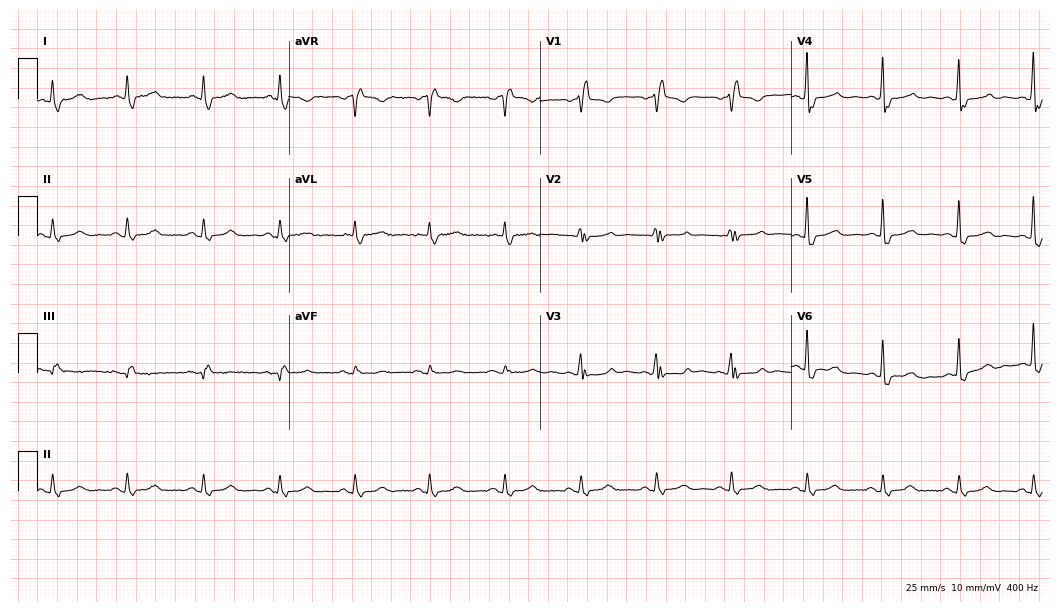
Electrocardiogram, a female patient, 72 years old. Interpretation includes right bundle branch block.